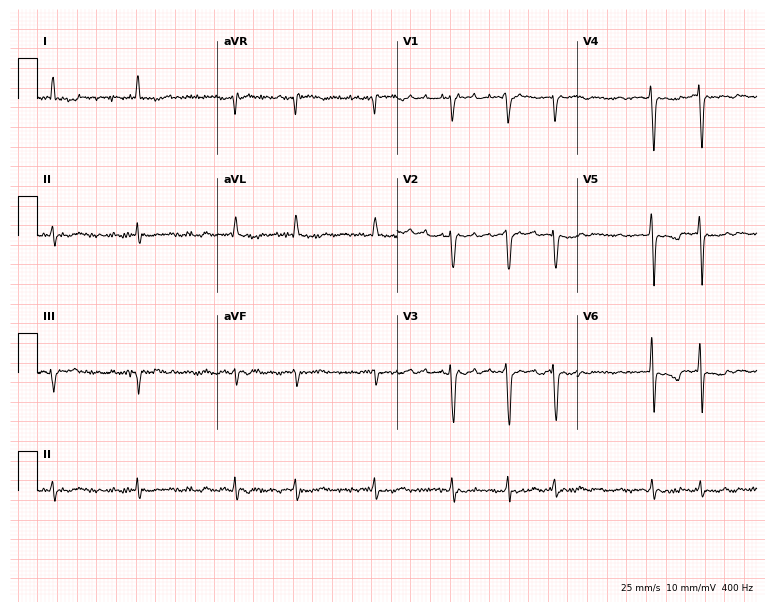
Electrocardiogram, a male patient, 77 years old. Interpretation includes atrial fibrillation.